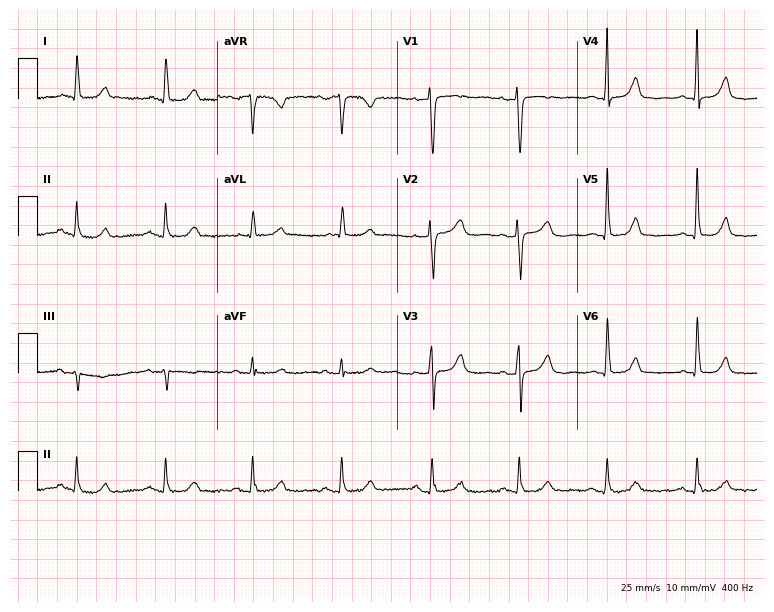
Standard 12-lead ECG recorded from a 73-year-old female patient (7.3-second recording at 400 Hz). None of these six findings is recorded: first-degree AV block, right bundle branch block, left bundle branch block, sinus bradycardia, atrial fibrillation, sinus tachycardia.